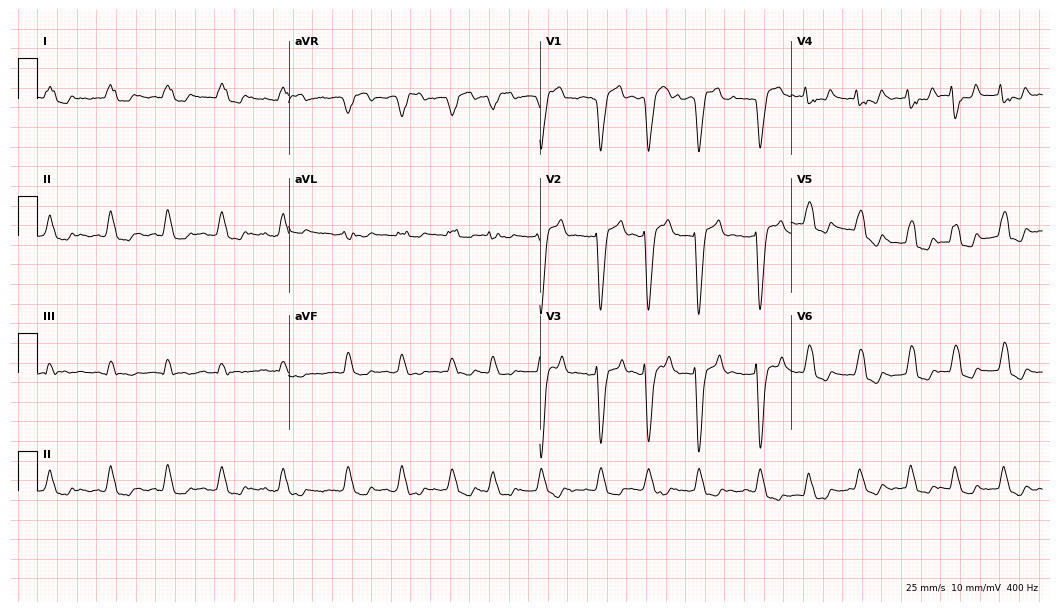
Electrocardiogram, a 64-year-old man. Interpretation includes left bundle branch block, atrial fibrillation.